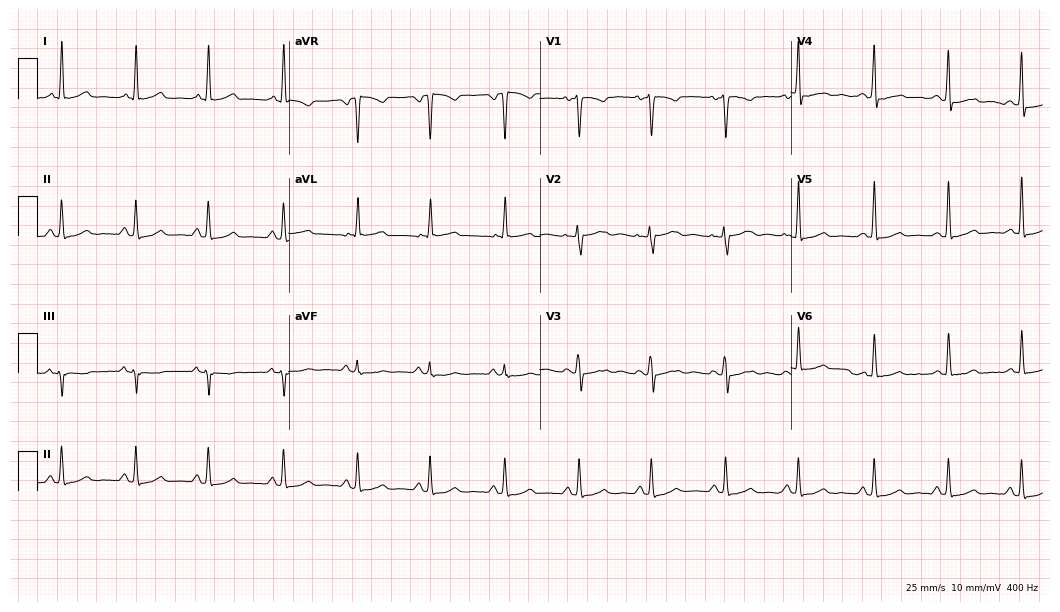
12-lead ECG (10.2-second recording at 400 Hz) from a 44-year-old female patient. Labelled as a normal ECG.